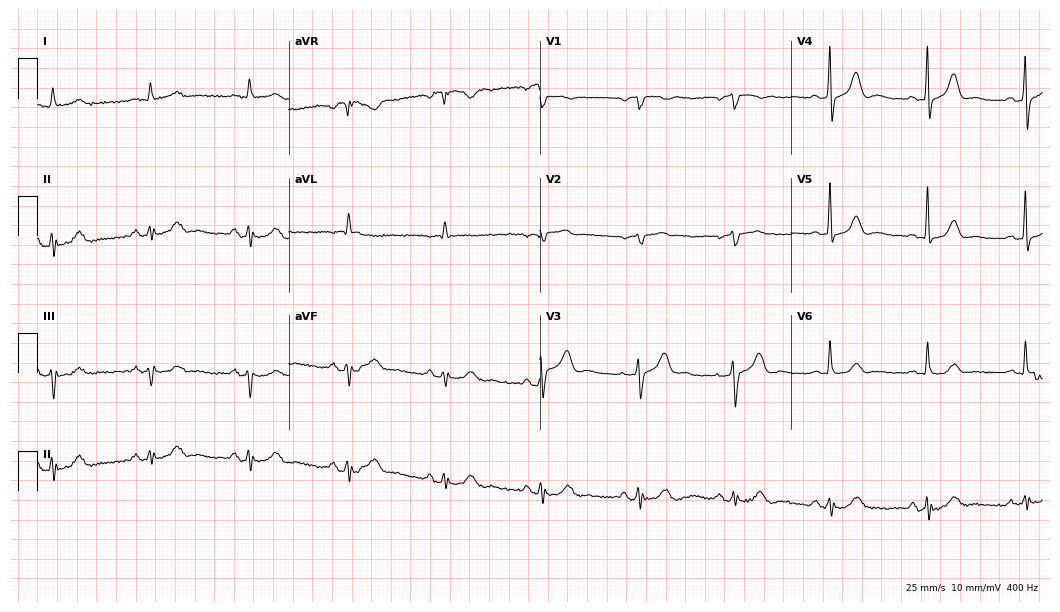
Electrocardiogram (10.2-second recording at 400 Hz), an 84-year-old male. Overall reading on record: normal ECG.